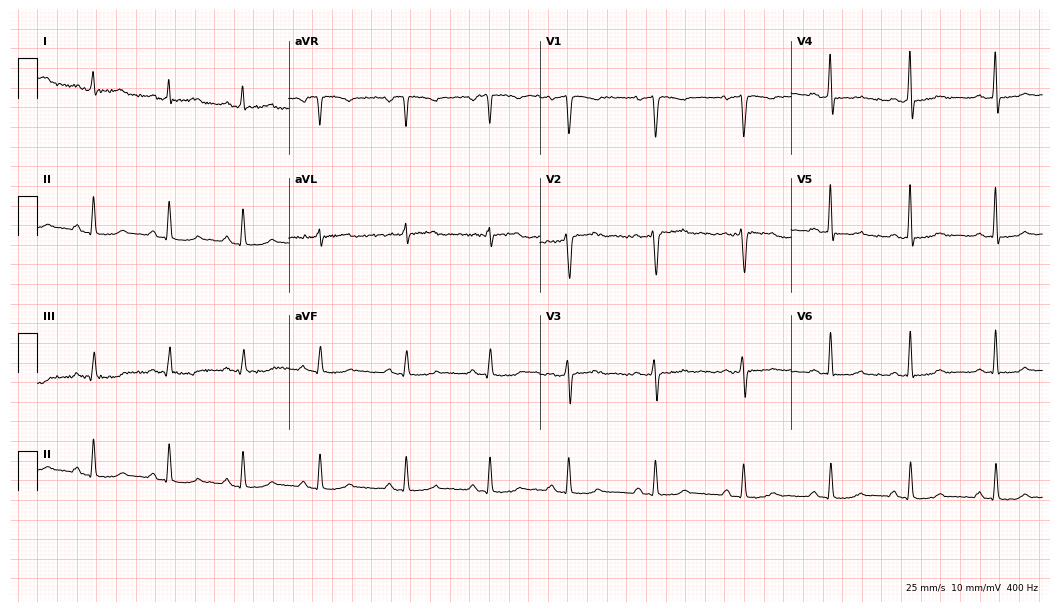
ECG — a 47-year-old female patient. Labelled as a normal ECG.